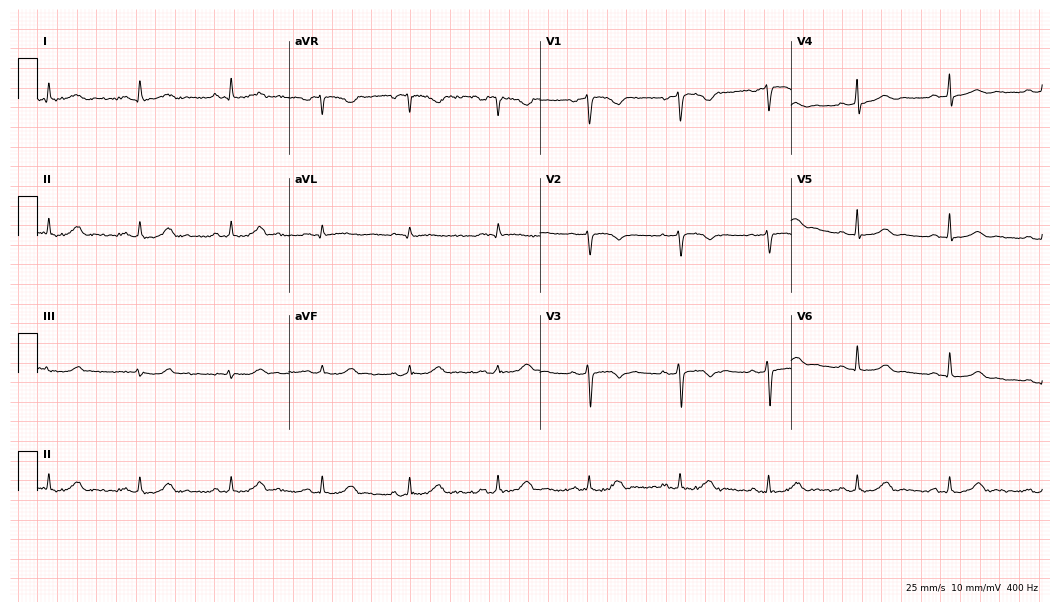
12-lead ECG (10.2-second recording at 400 Hz) from a woman, 45 years old. Labelled as a normal ECG.